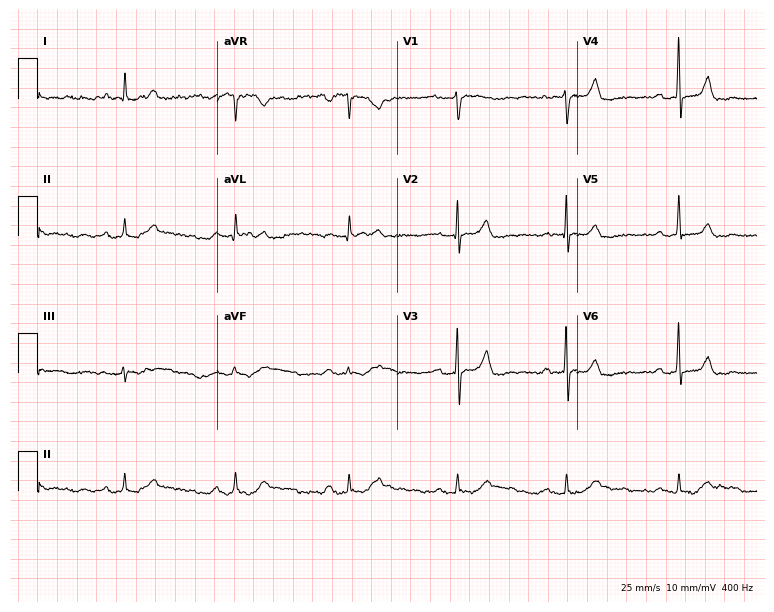
Standard 12-lead ECG recorded from a 68-year-old female patient (7.3-second recording at 400 Hz). Read as a normal ECG.